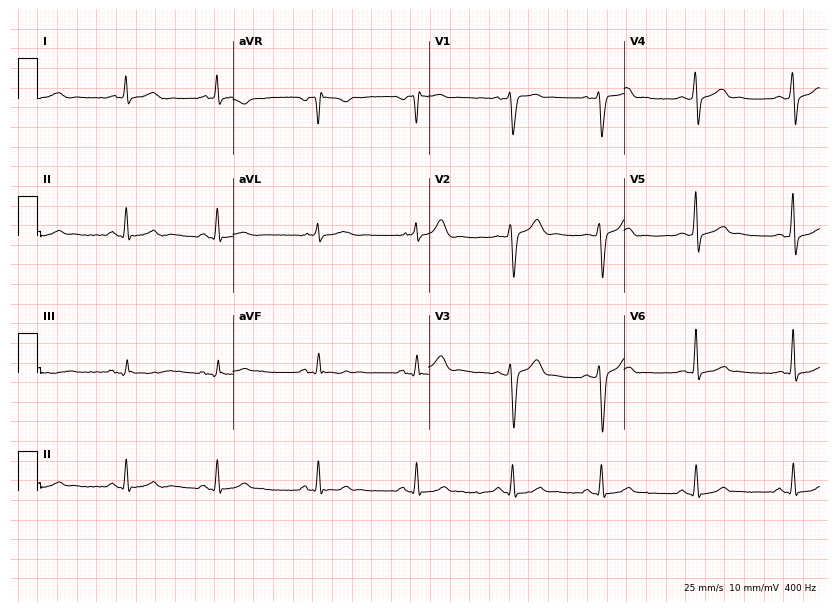
Standard 12-lead ECG recorded from a 39-year-old male patient. None of these six findings is recorded: first-degree AV block, right bundle branch block, left bundle branch block, sinus bradycardia, atrial fibrillation, sinus tachycardia.